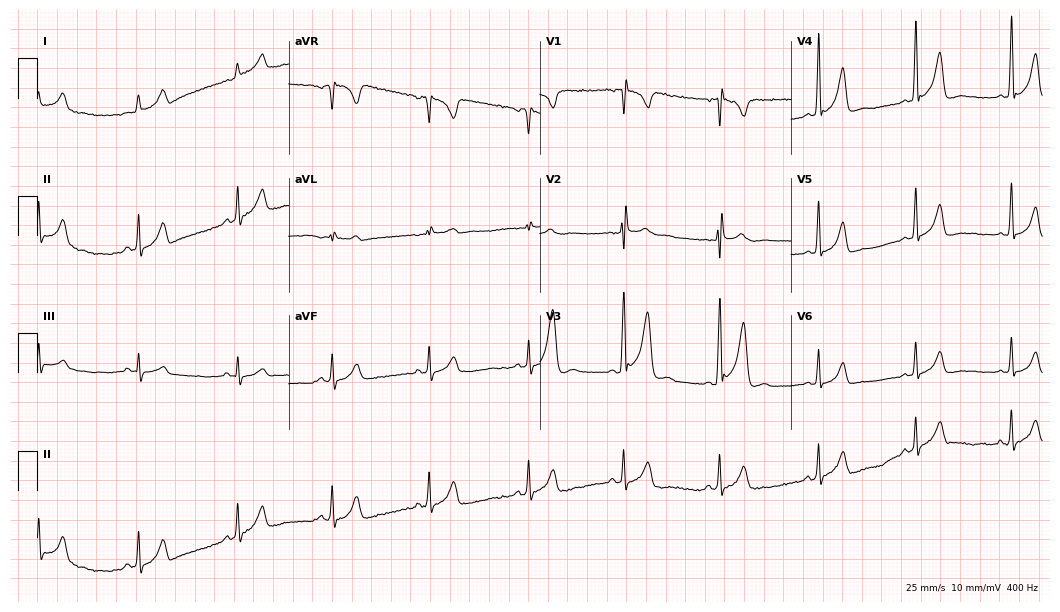
Standard 12-lead ECG recorded from a man, 32 years old (10.2-second recording at 400 Hz). None of these six findings is recorded: first-degree AV block, right bundle branch block, left bundle branch block, sinus bradycardia, atrial fibrillation, sinus tachycardia. Only these six findings were labelled.